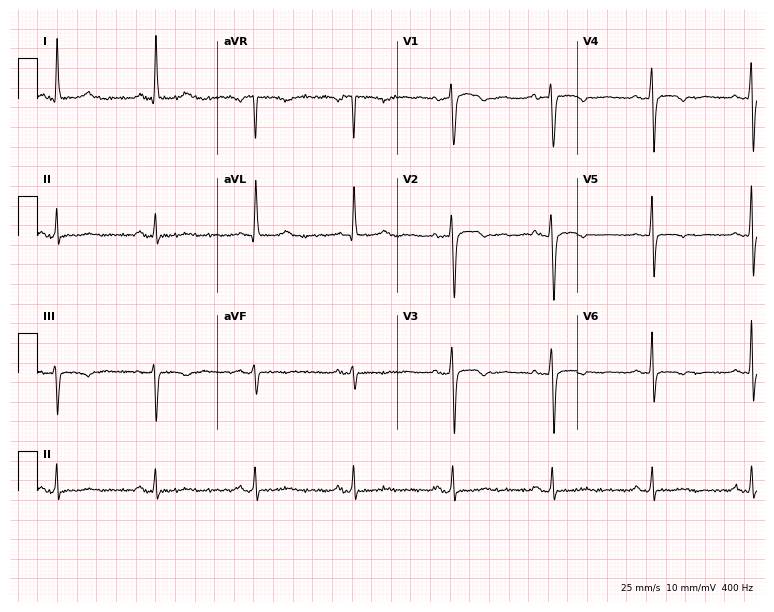
Resting 12-lead electrocardiogram (7.3-second recording at 400 Hz). Patient: a 72-year-old woman. None of these six findings is recorded: first-degree AV block, right bundle branch block, left bundle branch block, sinus bradycardia, atrial fibrillation, sinus tachycardia.